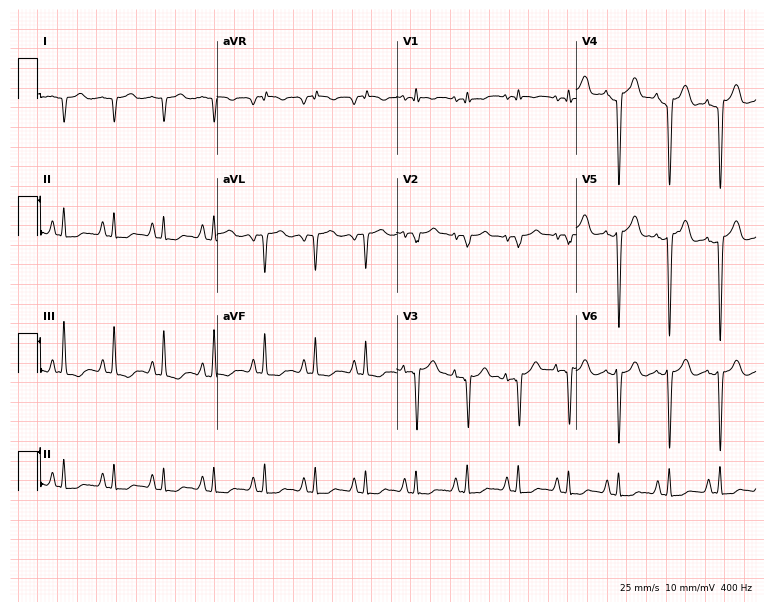
Resting 12-lead electrocardiogram. Patient: a female, 45 years old. None of these six findings is recorded: first-degree AV block, right bundle branch block (RBBB), left bundle branch block (LBBB), sinus bradycardia, atrial fibrillation (AF), sinus tachycardia.